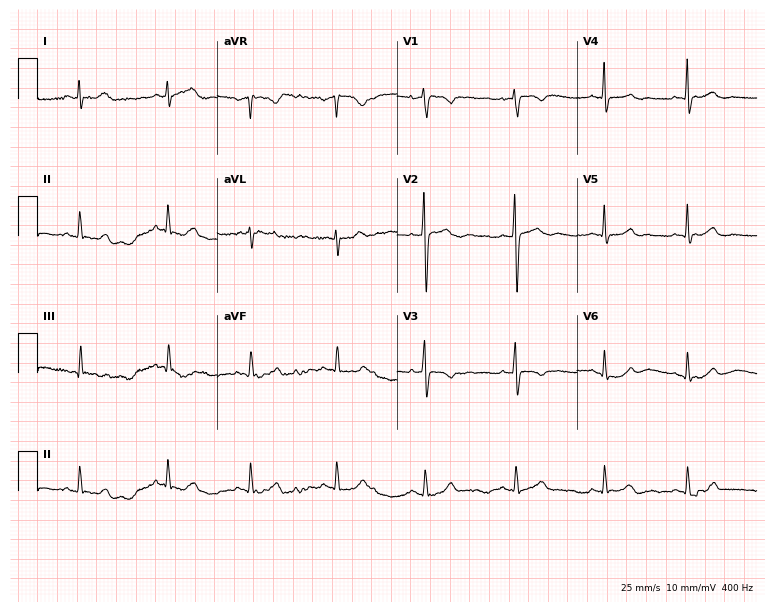
Electrocardiogram (7.3-second recording at 400 Hz), a 29-year-old female. Of the six screened findings (first-degree AV block, right bundle branch block, left bundle branch block, sinus bradycardia, atrial fibrillation, sinus tachycardia), none is recorded. Other findings, if any, are not listed.